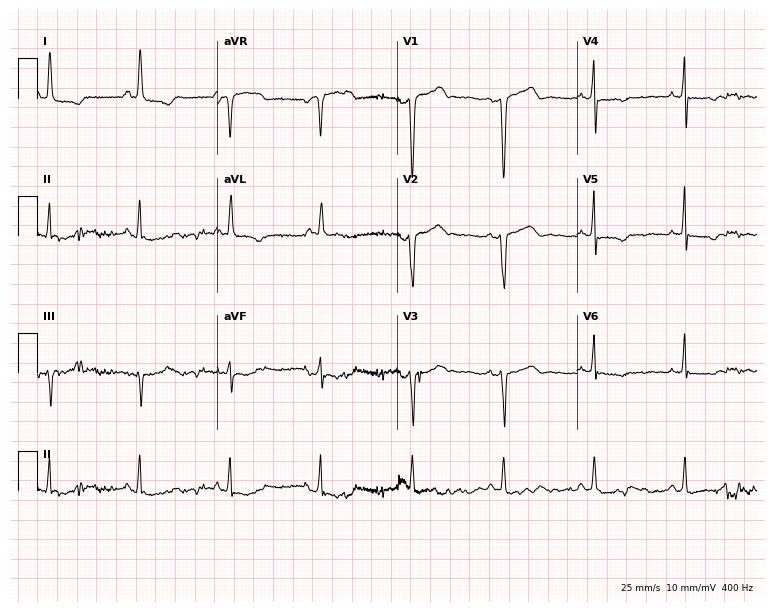
Resting 12-lead electrocardiogram (7.3-second recording at 400 Hz). Patient: a 68-year-old woman. None of these six findings is recorded: first-degree AV block, right bundle branch block, left bundle branch block, sinus bradycardia, atrial fibrillation, sinus tachycardia. Other findings, if any, are not listed.